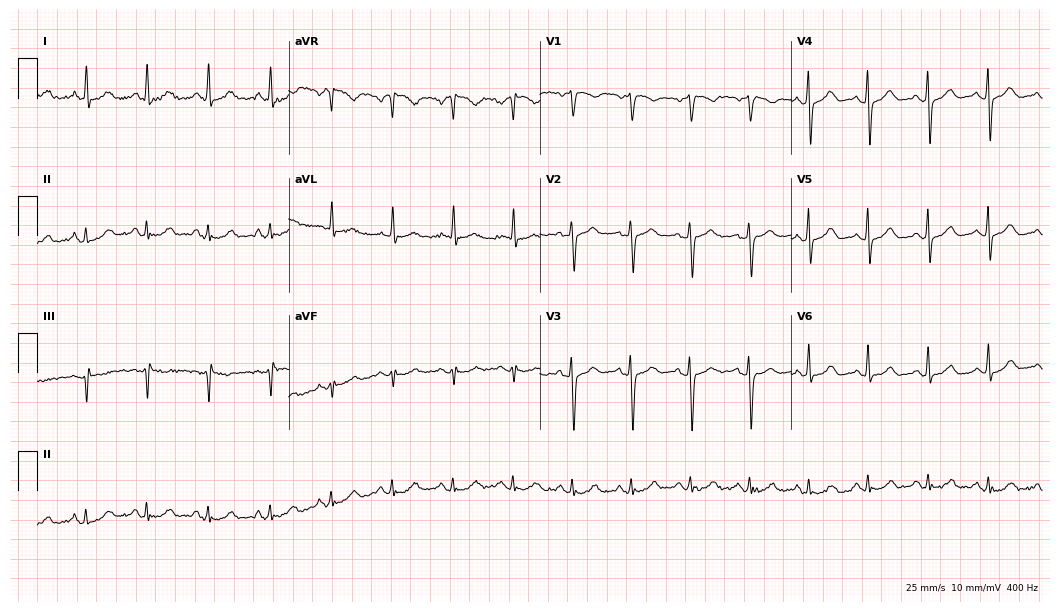
Electrocardiogram, a 54-year-old female. Overall reading on record: normal ECG.